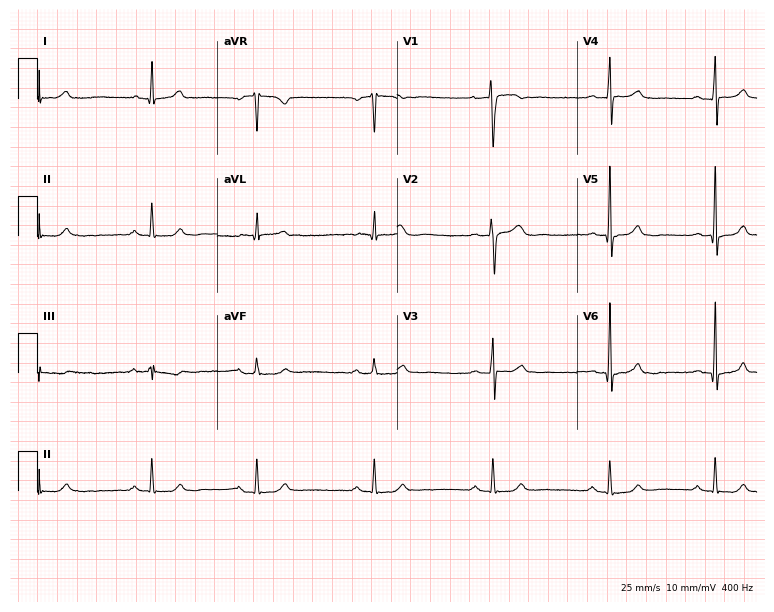
Standard 12-lead ECG recorded from a male patient, 31 years old (7.3-second recording at 400 Hz). Read as a normal ECG.